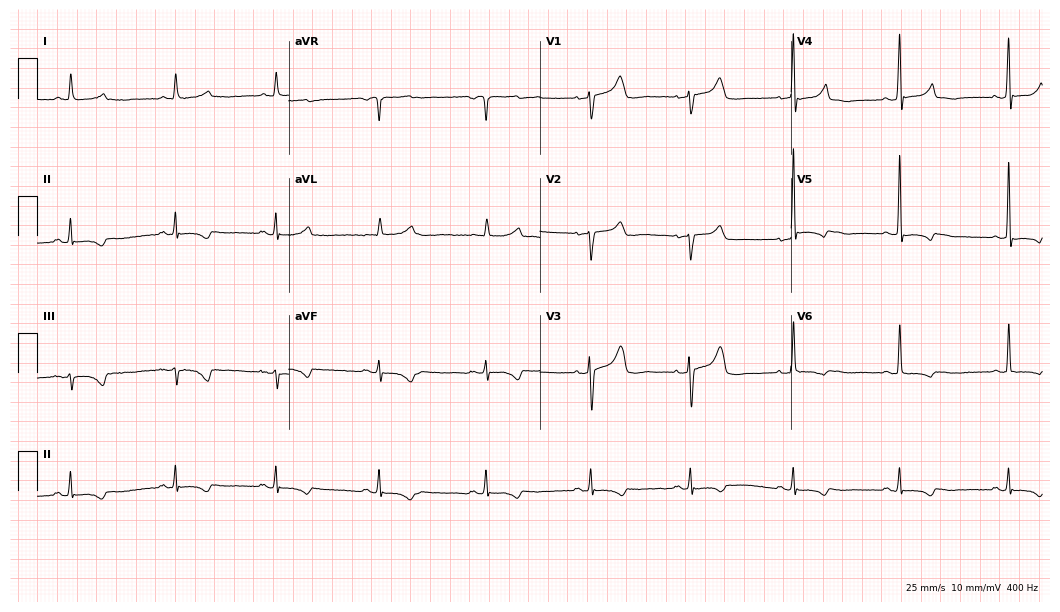
Electrocardiogram (10.2-second recording at 400 Hz), a female patient, 44 years old. Of the six screened findings (first-degree AV block, right bundle branch block, left bundle branch block, sinus bradycardia, atrial fibrillation, sinus tachycardia), none is recorded. Only these six findings were labelled.